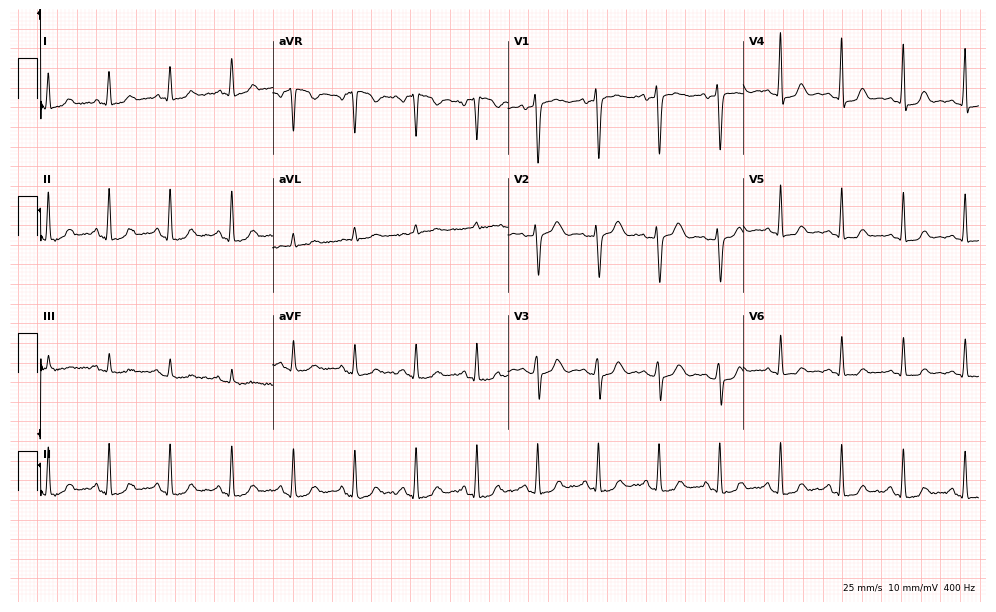
Resting 12-lead electrocardiogram. Patient: a female, 41 years old. Read as a normal ECG.